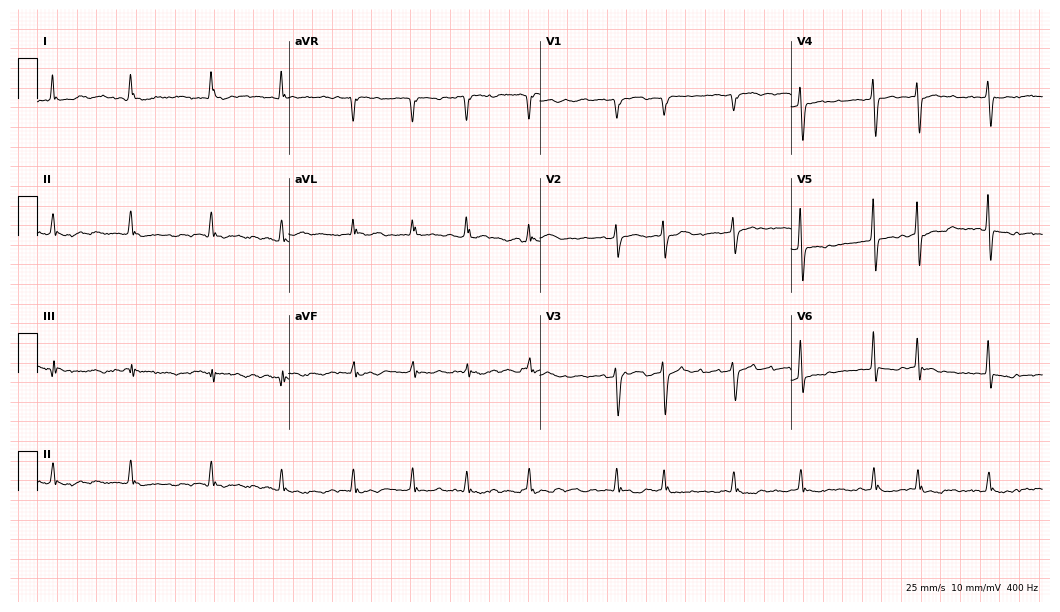
12-lead ECG from a woman, 74 years old. Shows atrial fibrillation (AF).